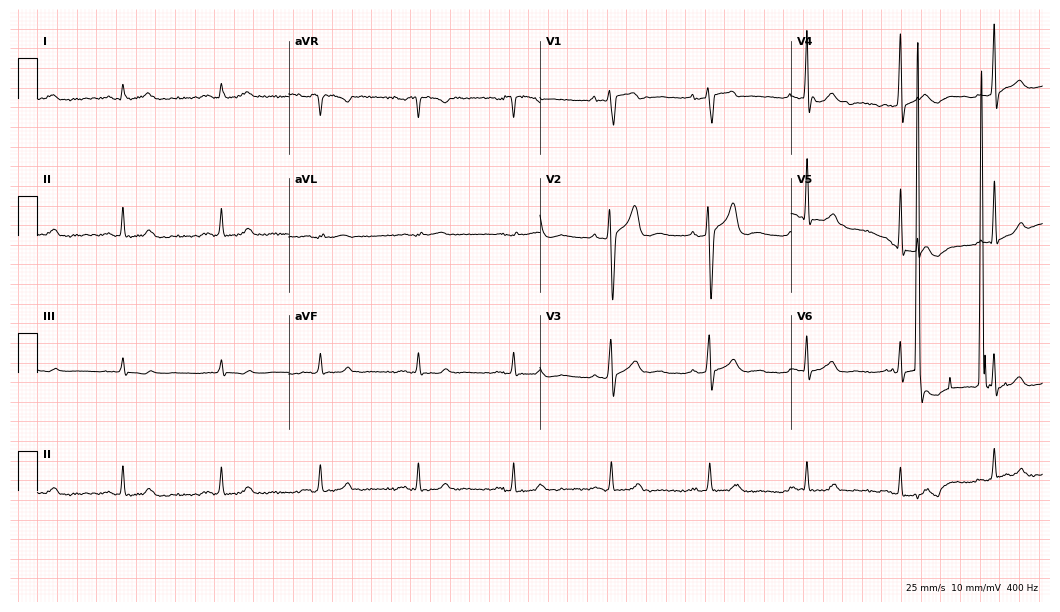
12-lead ECG from a male, 48 years old (10.2-second recording at 400 Hz). No first-degree AV block, right bundle branch block (RBBB), left bundle branch block (LBBB), sinus bradycardia, atrial fibrillation (AF) or sinus tachycardia recorded for this tracing.